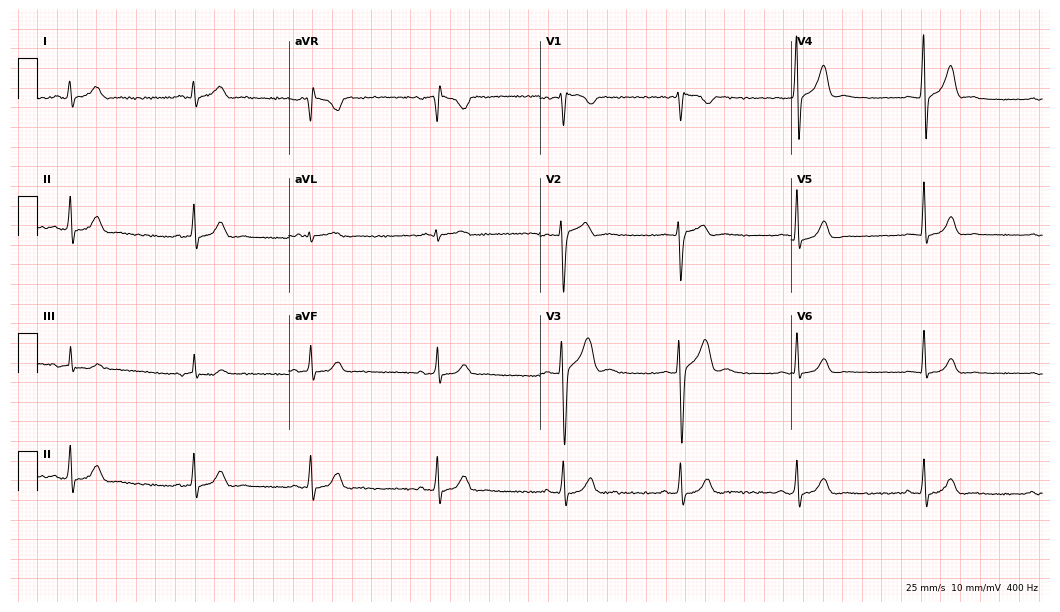
ECG — a man, 20 years old. Screened for six findings — first-degree AV block, right bundle branch block (RBBB), left bundle branch block (LBBB), sinus bradycardia, atrial fibrillation (AF), sinus tachycardia — none is recorded. Other findings, if any, are not listed.